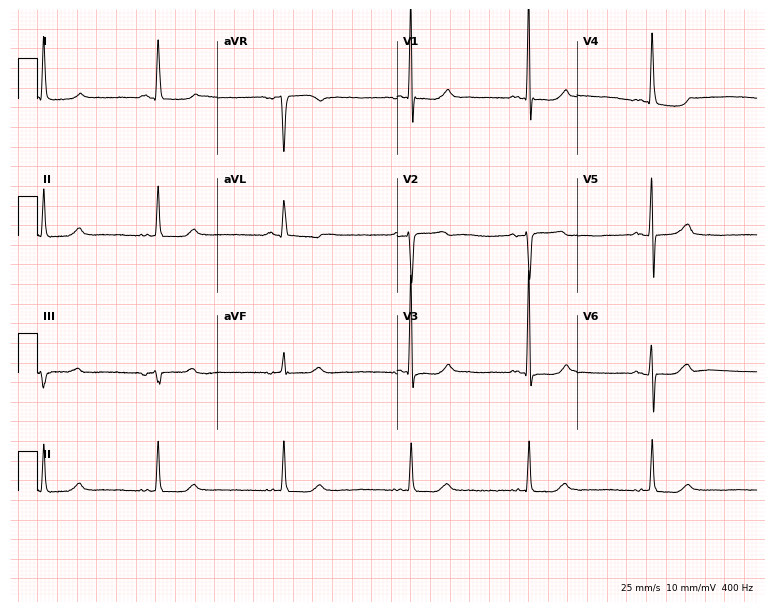
Standard 12-lead ECG recorded from a female, 51 years old (7.3-second recording at 400 Hz). None of these six findings is recorded: first-degree AV block, right bundle branch block (RBBB), left bundle branch block (LBBB), sinus bradycardia, atrial fibrillation (AF), sinus tachycardia. Findings outside these six are not listed.